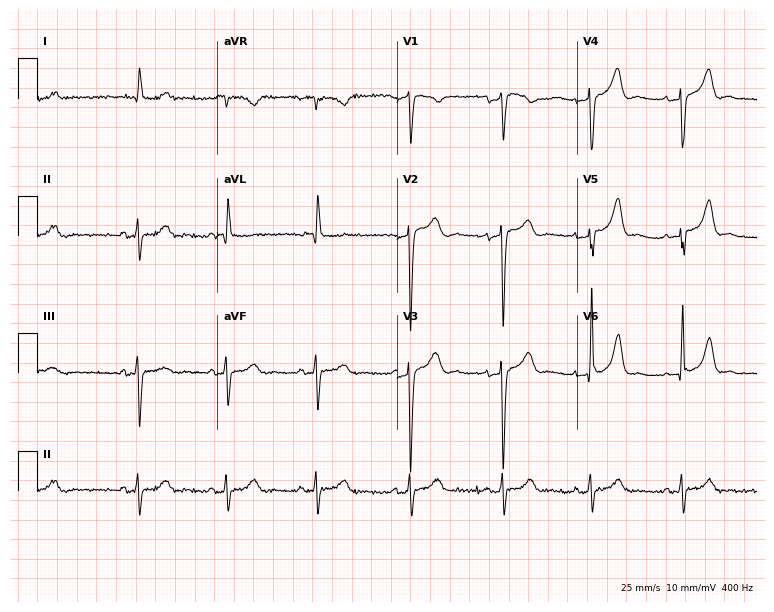
12-lead ECG from a 75-year-old woman. Screened for six findings — first-degree AV block, right bundle branch block (RBBB), left bundle branch block (LBBB), sinus bradycardia, atrial fibrillation (AF), sinus tachycardia — none is recorded.